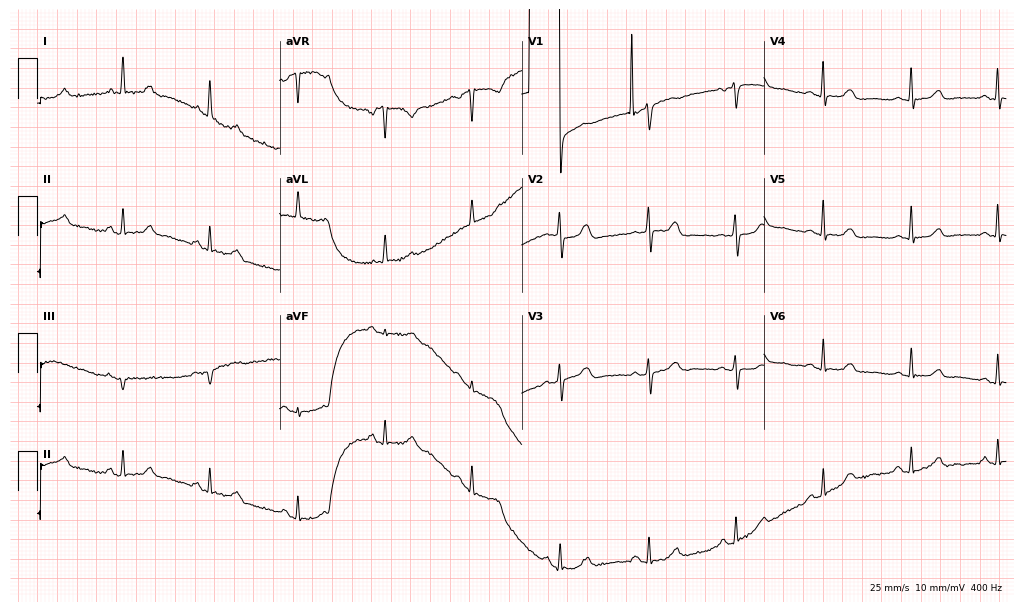
12-lead ECG from a male patient, 83 years old (9.9-second recording at 400 Hz). No first-degree AV block, right bundle branch block (RBBB), left bundle branch block (LBBB), sinus bradycardia, atrial fibrillation (AF) or sinus tachycardia recorded for this tracing.